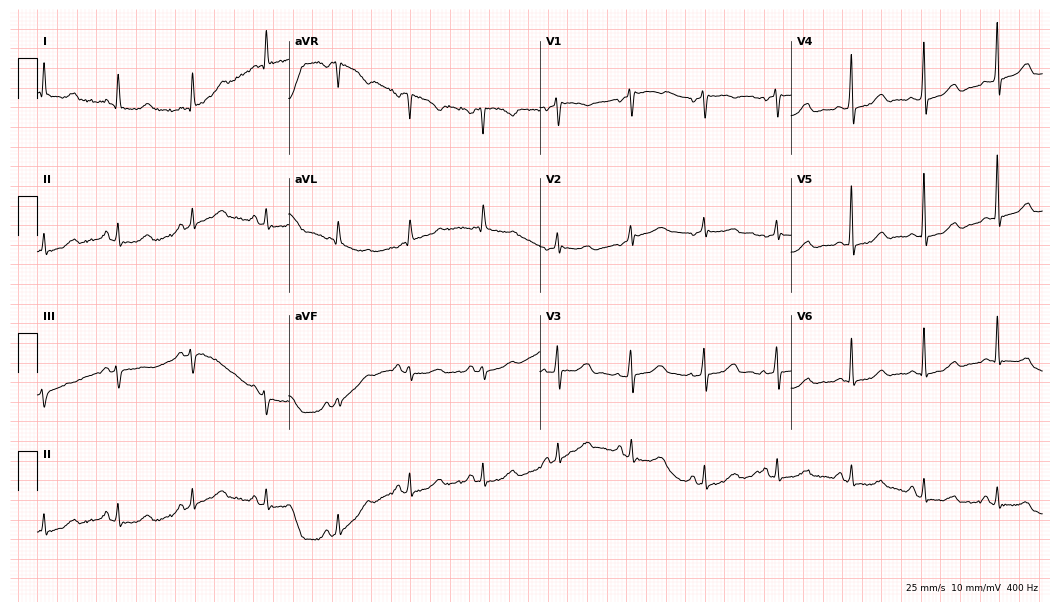
12-lead ECG from a female, 59 years old (10.2-second recording at 400 Hz). Recorded interpretation: within normal limits.